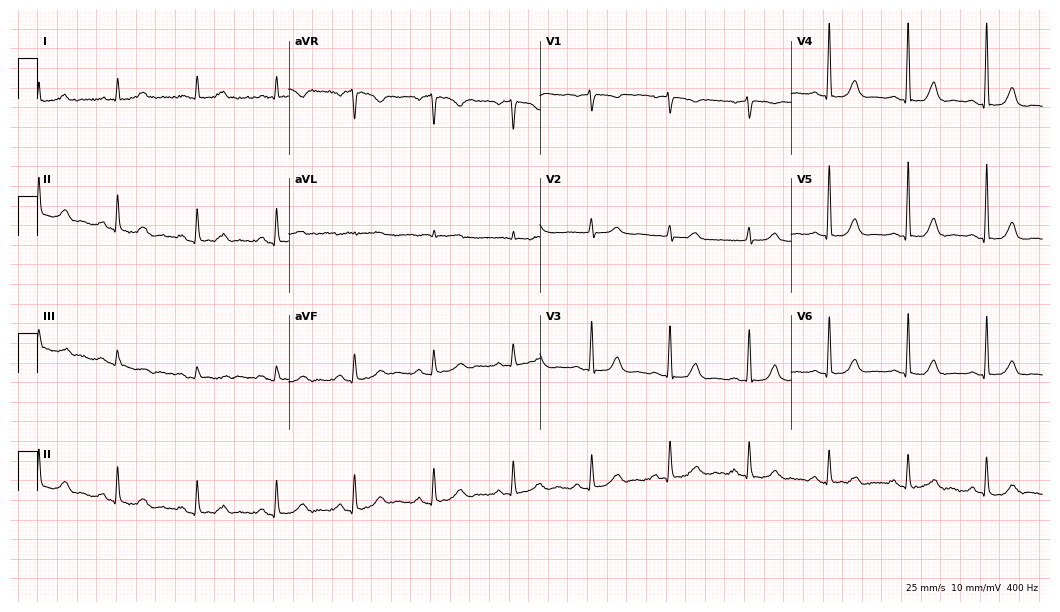
Standard 12-lead ECG recorded from a female, 83 years old. Read as a normal ECG.